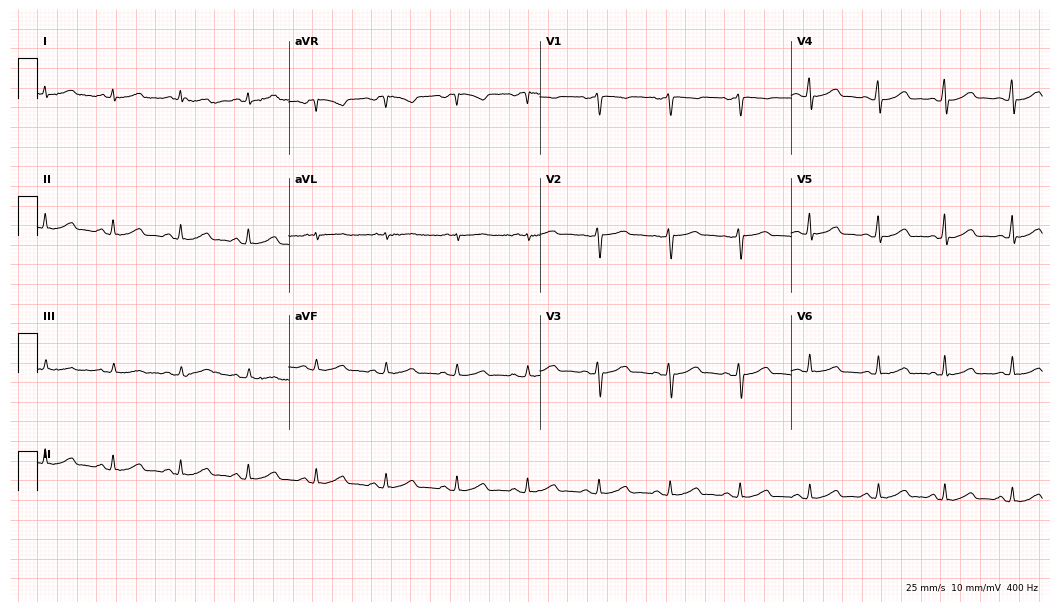
ECG — a 40-year-old female patient. Labelled as a normal ECG.